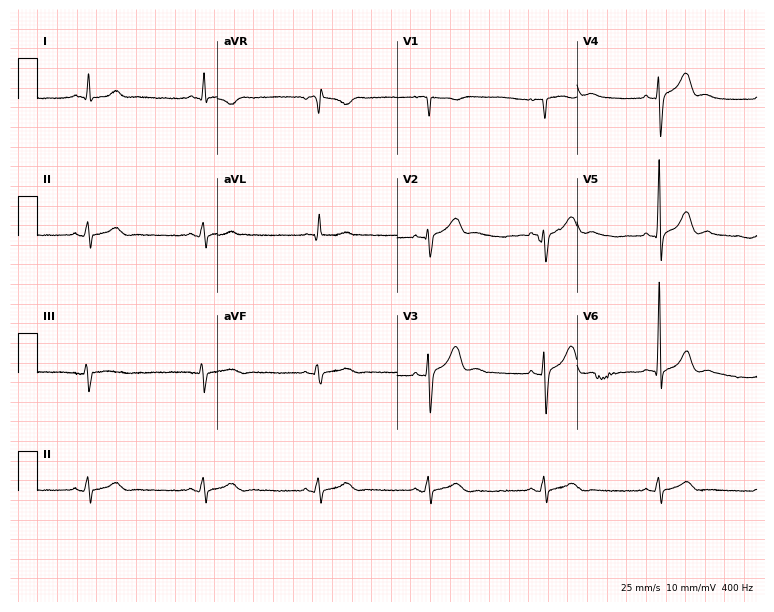
12-lead ECG from a man, 55 years old (7.3-second recording at 400 Hz). Recorded interpretation: within normal limits.